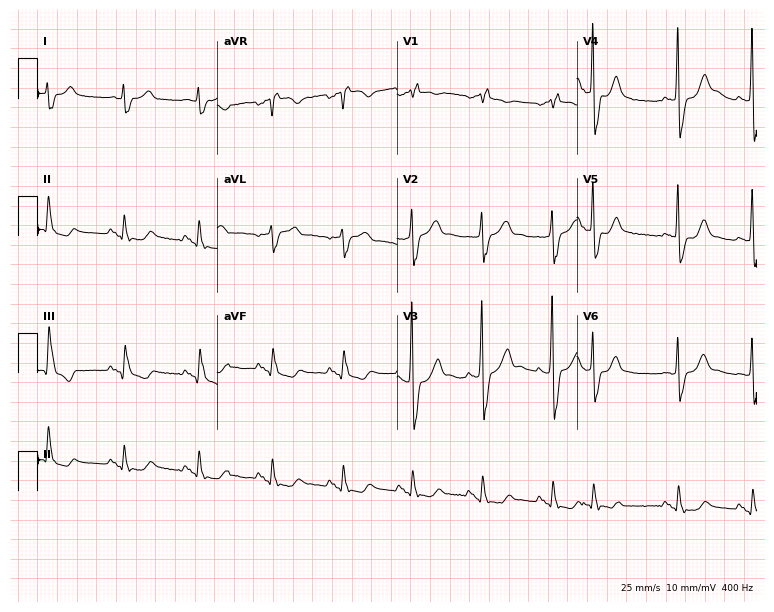
12-lead ECG from a male patient, 71 years old (7.3-second recording at 400 Hz). Shows right bundle branch block (RBBB).